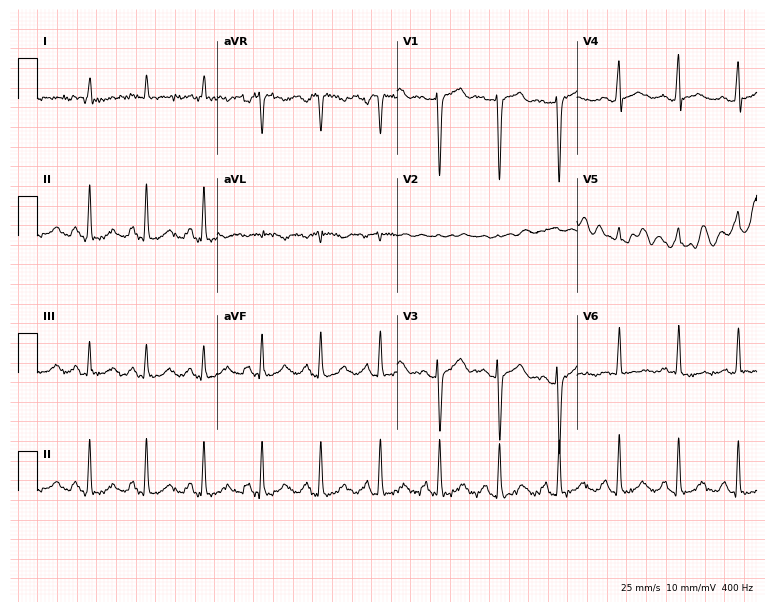
Electrocardiogram, a male patient, 58 years old. Of the six screened findings (first-degree AV block, right bundle branch block, left bundle branch block, sinus bradycardia, atrial fibrillation, sinus tachycardia), none is recorded. Other findings, if any, are not listed.